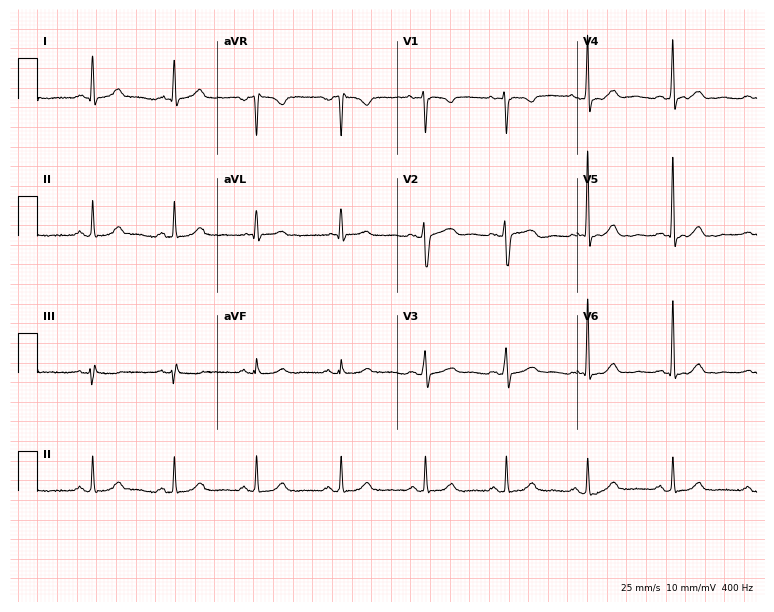
12-lead ECG from a 42-year-old female patient. Labelled as a normal ECG.